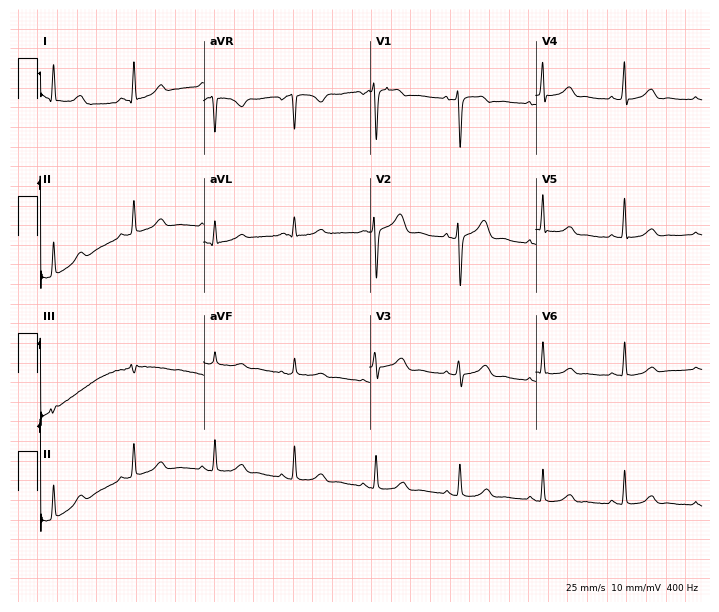
12-lead ECG from a female patient, 44 years old (6.8-second recording at 400 Hz). No first-degree AV block, right bundle branch block, left bundle branch block, sinus bradycardia, atrial fibrillation or sinus tachycardia recorded for this tracing.